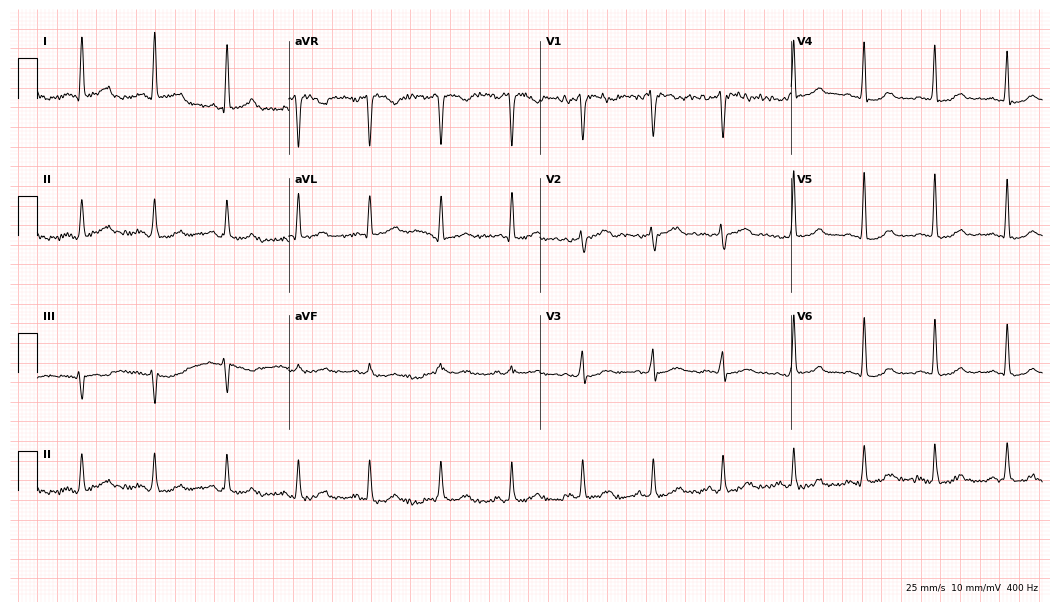
12-lead ECG from a female patient, 53 years old. Labelled as a normal ECG.